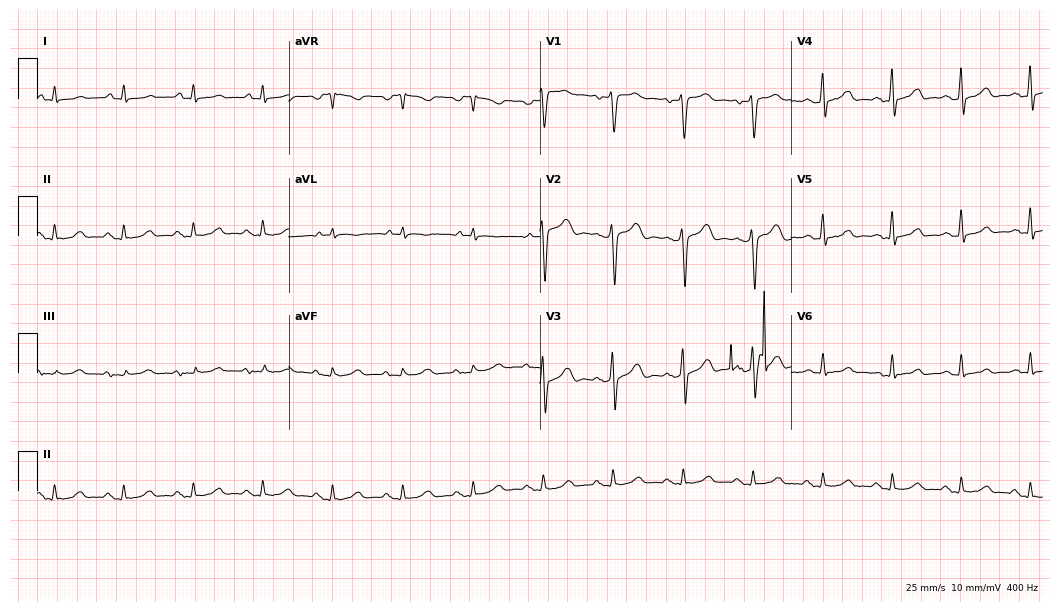
Standard 12-lead ECG recorded from a male, 44 years old. Read as a normal ECG.